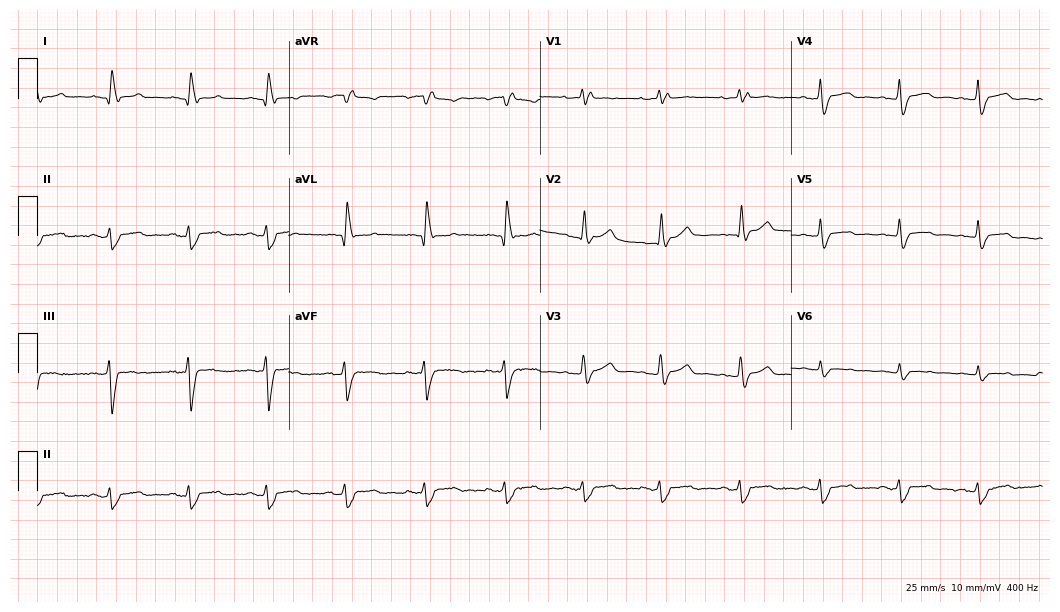
12-lead ECG from a 61-year-old female. Findings include right bundle branch block.